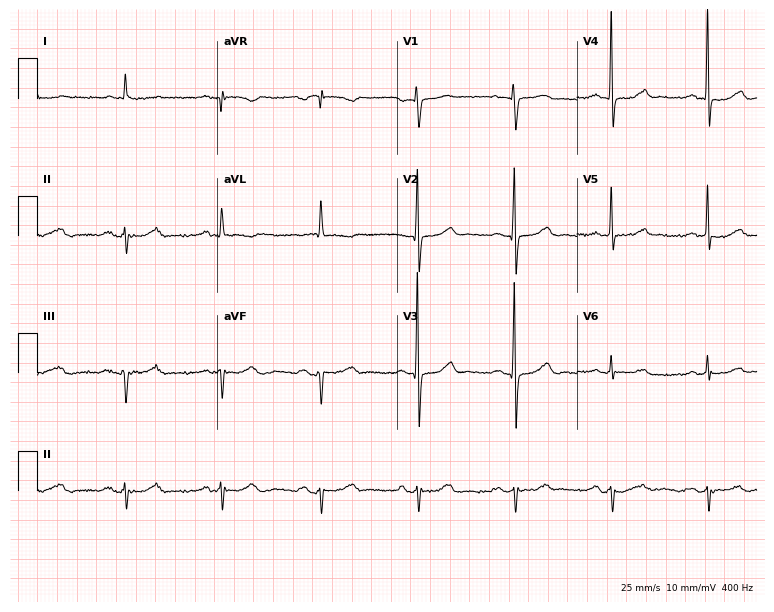
12-lead ECG from a female patient, 84 years old (7.3-second recording at 400 Hz). No first-degree AV block, right bundle branch block, left bundle branch block, sinus bradycardia, atrial fibrillation or sinus tachycardia recorded for this tracing.